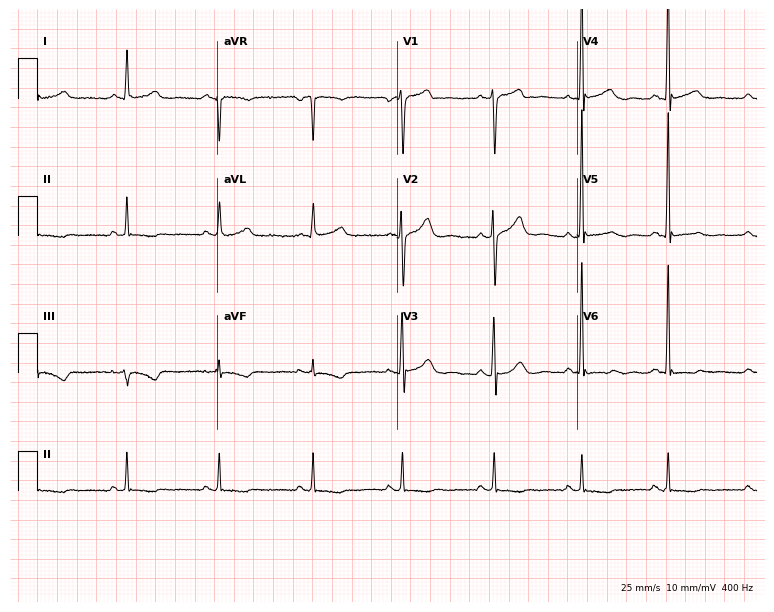
12-lead ECG (7.3-second recording at 400 Hz) from a man, 47 years old. Screened for six findings — first-degree AV block, right bundle branch block, left bundle branch block, sinus bradycardia, atrial fibrillation, sinus tachycardia — none is recorded. Only these six findings were labelled.